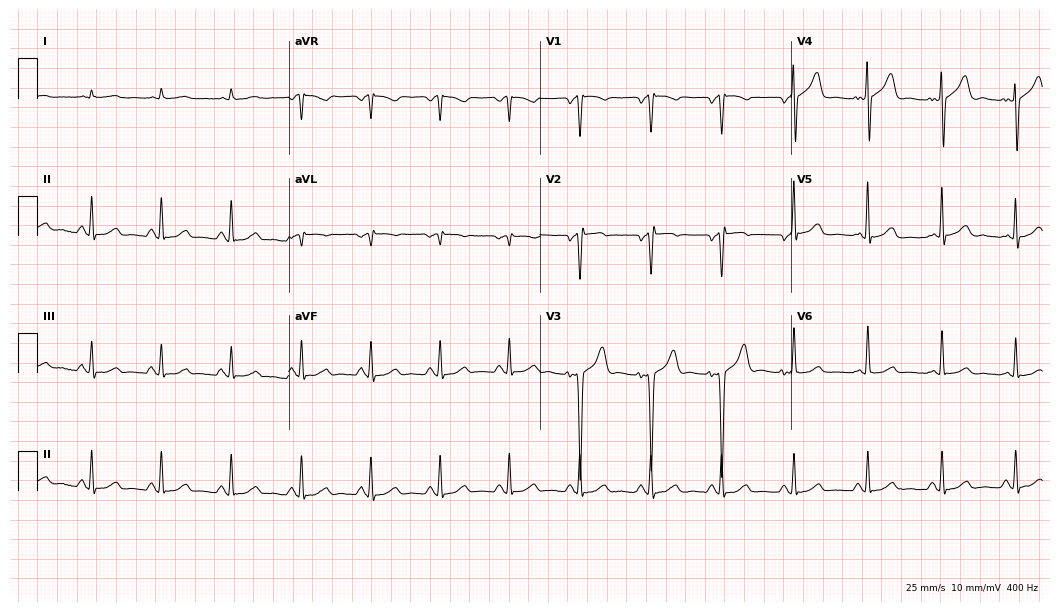
ECG — a male patient, 54 years old. Screened for six findings — first-degree AV block, right bundle branch block (RBBB), left bundle branch block (LBBB), sinus bradycardia, atrial fibrillation (AF), sinus tachycardia — none is recorded. Only these six findings were labelled.